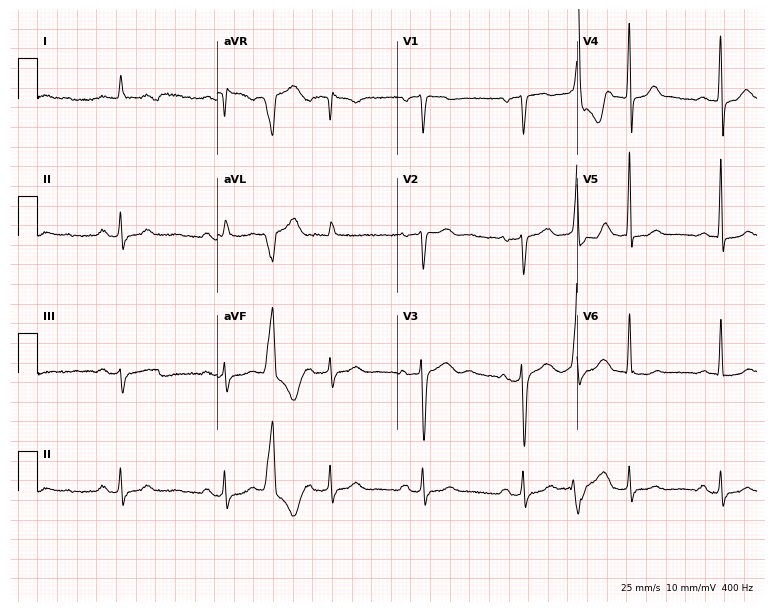
ECG (7.3-second recording at 400 Hz) — a 67-year-old man. Screened for six findings — first-degree AV block, right bundle branch block, left bundle branch block, sinus bradycardia, atrial fibrillation, sinus tachycardia — none is recorded. Other findings, if any, are not listed.